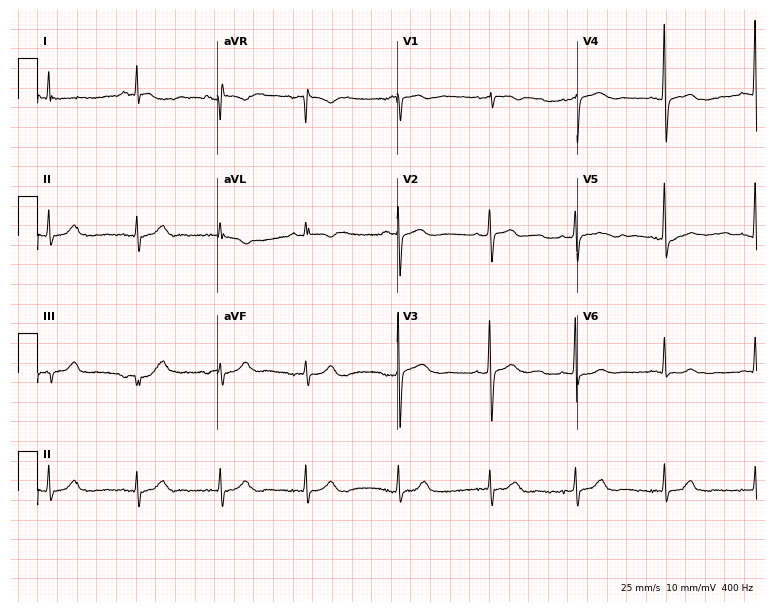
Electrocardiogram (7.3-second recording at 400 Hz), a woman, 68 years old. Of the six screened findings (first-degree AV block, right bundle branch block, left bundle branch block, sinus bradycardia, atrial fibrillation, sinus tachycardia), none is recorded.